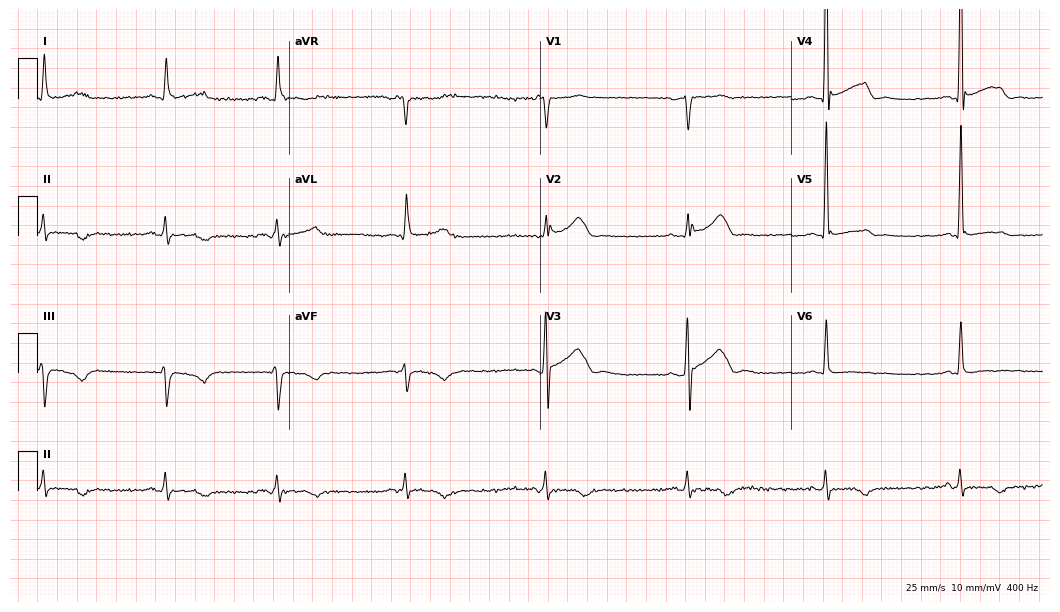
Electrocardiogram (10.2-second recording at 400 Hz), a 75-year-old male patient. Of the six screened findings (first-degree AV block, right bundle branch block, left bundle branch block, sinus bradycardia, atrial fibrillation, sinus tachycardia), none is recorded. Only these six findings were labelled.